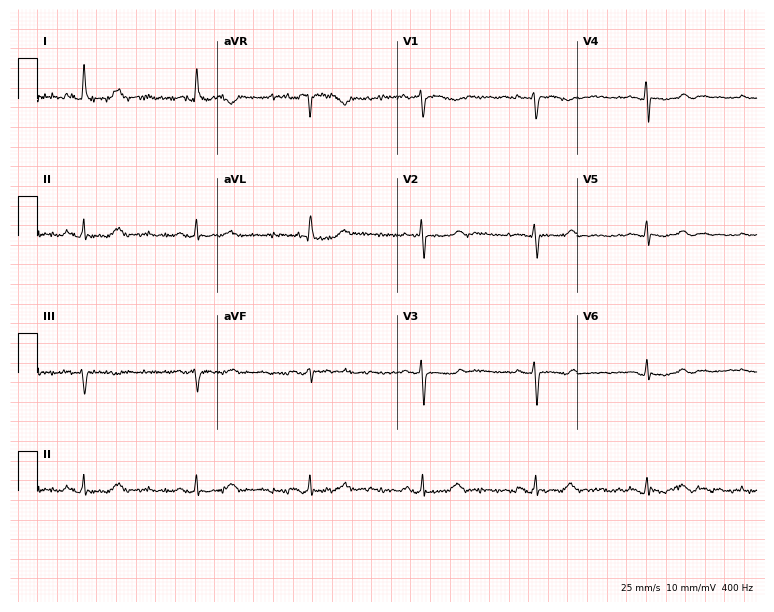
12-lead ECG from an 85-year-old female patient. Labelled as a normal ECG.